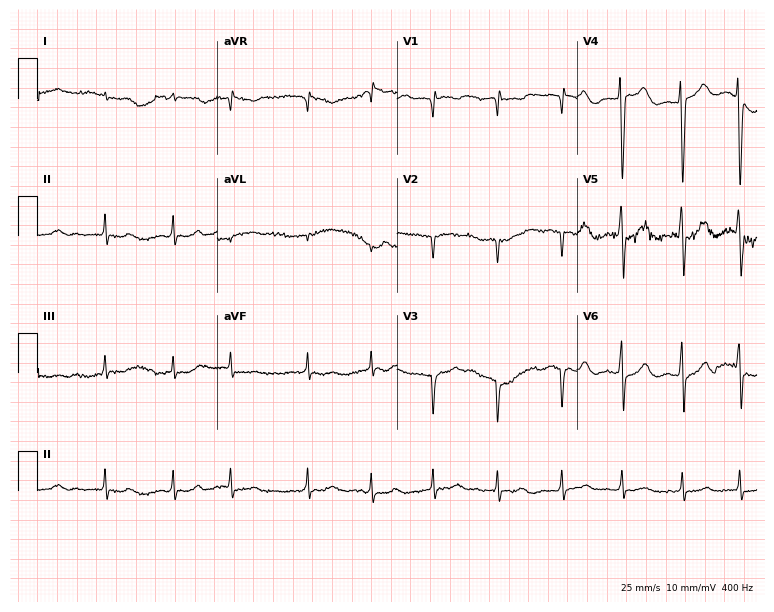
Electrocardiogram (7.3-second recording at 400 Hz), a male patient, 84 years old. Of the six screened findings (first-degree AV block, right bundle branch block, left bundle branch block, sinus bradycardia, atrial fibrillation, sinus tachycardia), none is recorded.